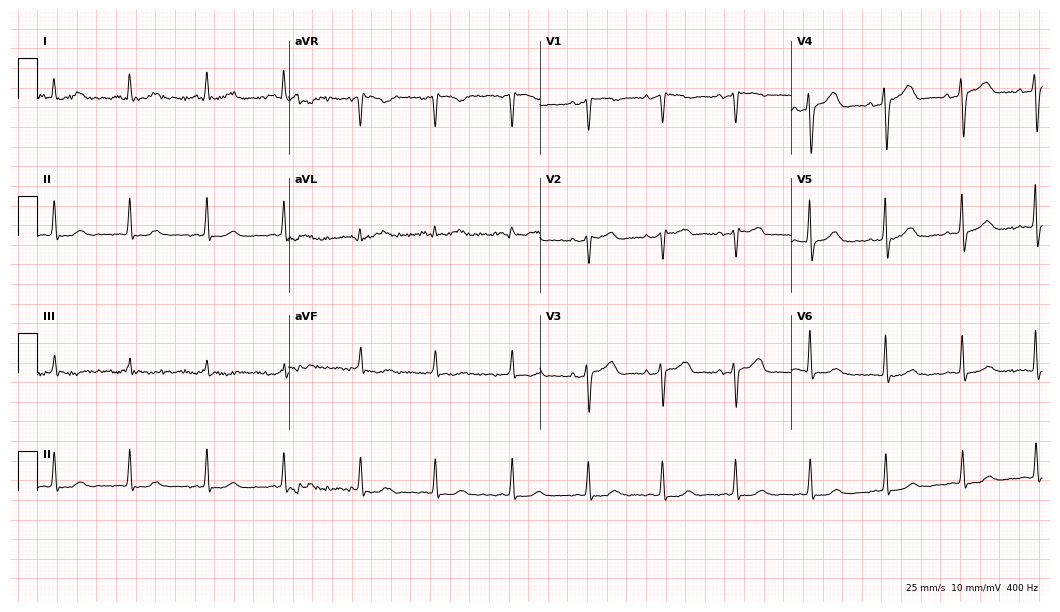
12-lead ECG from a female patient, 60 years old. Labelled as a normal ECG.